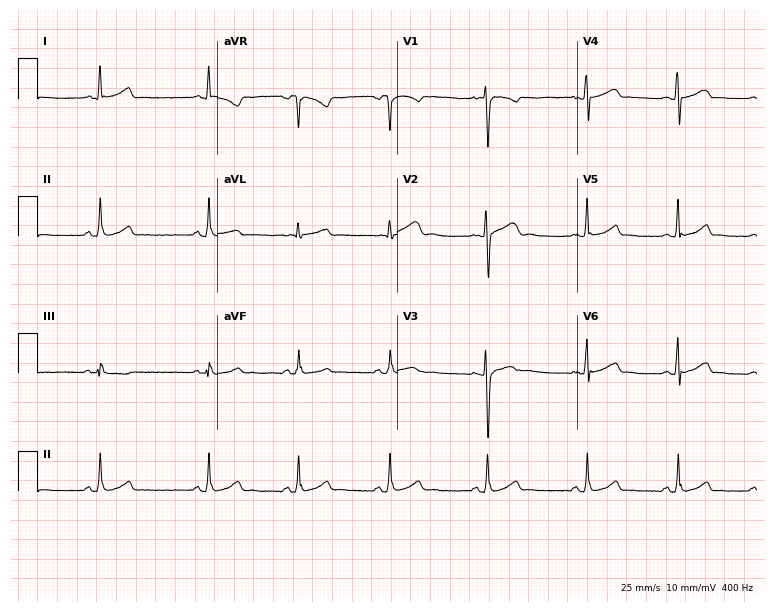
Resting 12-lead electrocardiogram (7.3-second recording at 400 Hz). Patient: a female, 24 years old. None of these six findings is recorded: first-degree AV block, right bundle branch block (RBBB), left bundle branch block (LBBB), sinus bradycardia, atrial fibrillation (AF), sinus tachycardia.